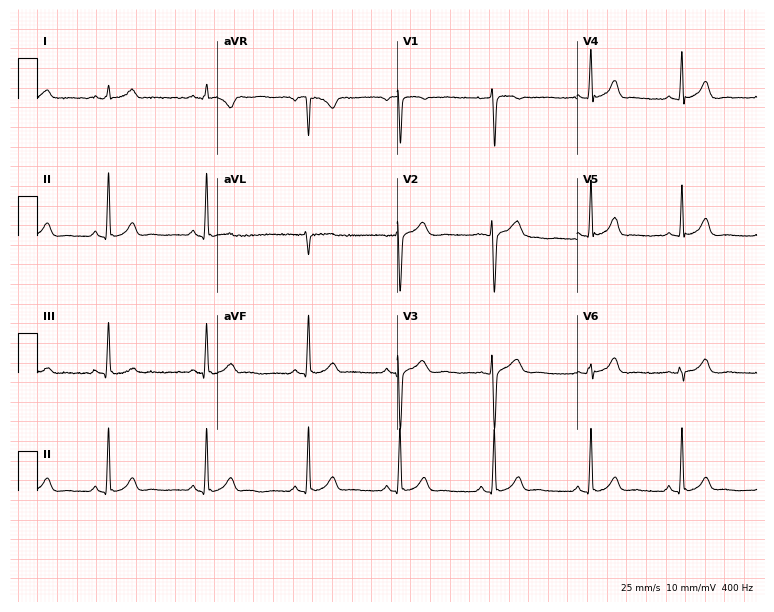
Standard 12-lead ECG recorded from a 31-year-old female. Read as a normal ECG.